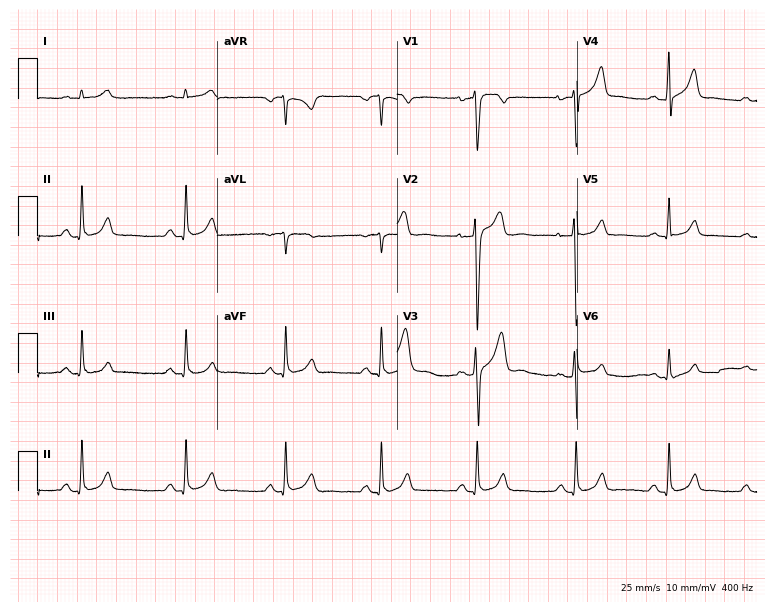
Electrocardiogram, a male patient, 41 years old. Of the six screened findings (first-degree AV block, right bundle branch block, left bundle branch block, sinus bradycardia, atrial fibrillation, sinus tachycardia), none is recorded. Other findings, if any, are not listed.